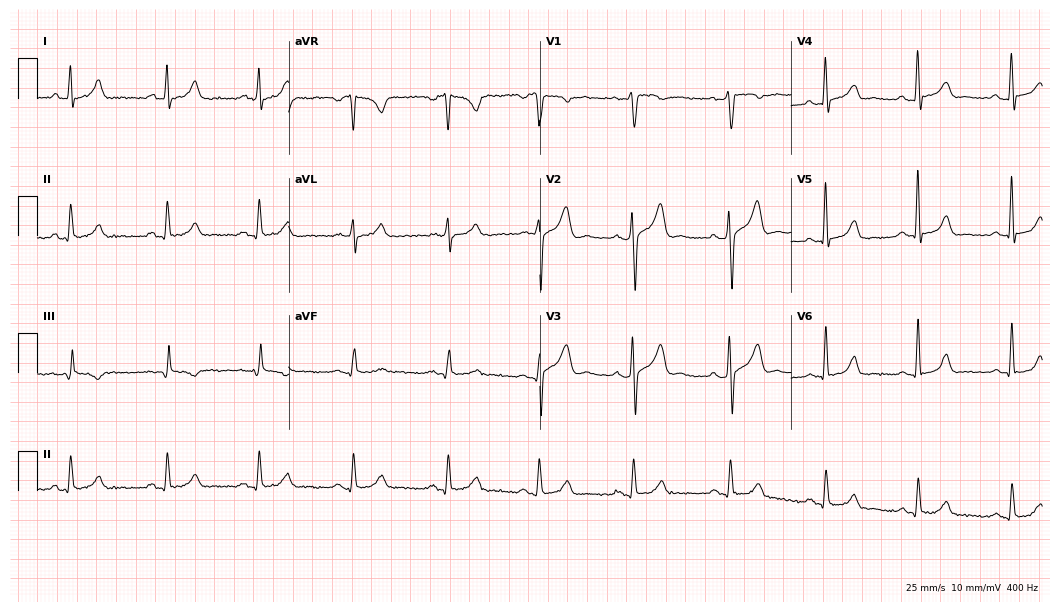
Resting 12-lead electrocardiogram. Patient: a 46-year-old male. None of these six findings is recorded: first-degree AV block, right bundle branch block (RBBB), left bundle branch block (LBBB), sinus bradycardia, atrial fibrillation (AF), sinus tachycardia. Findings outside these six are not listed.